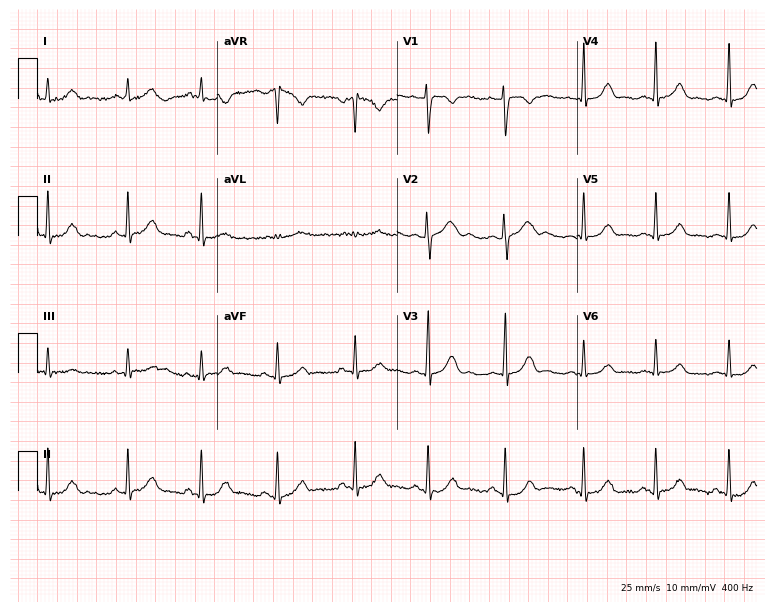
12-lead ECG from a female patient, 18 years old (7.3-second recording at 400 Hz). Recorded interpretation: within normal limits.